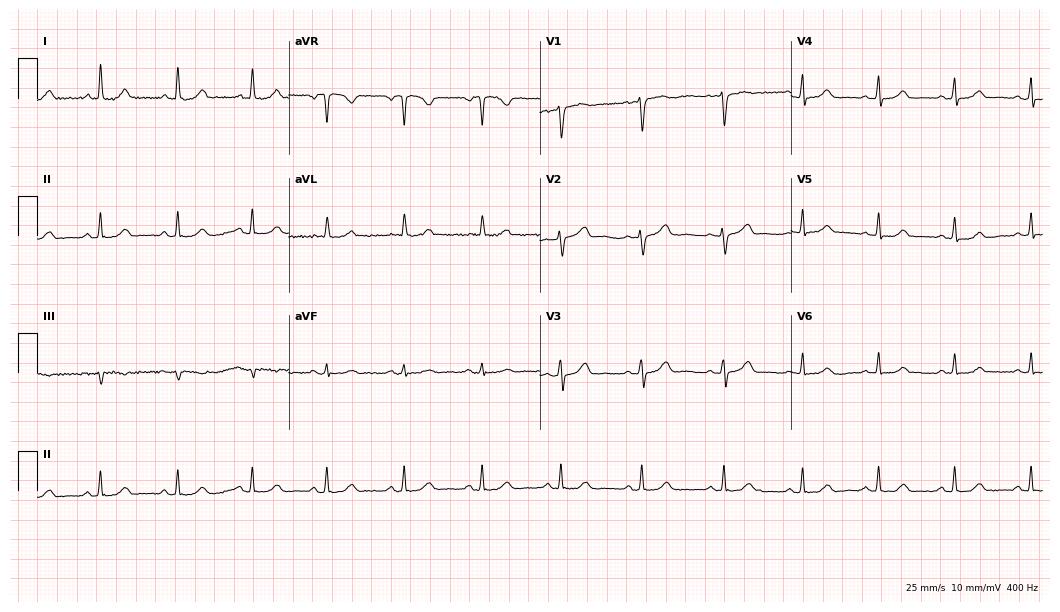
Resting 12-lead electrocardiogram. Patient: a female, 46 years old. Read as a normal ECG.